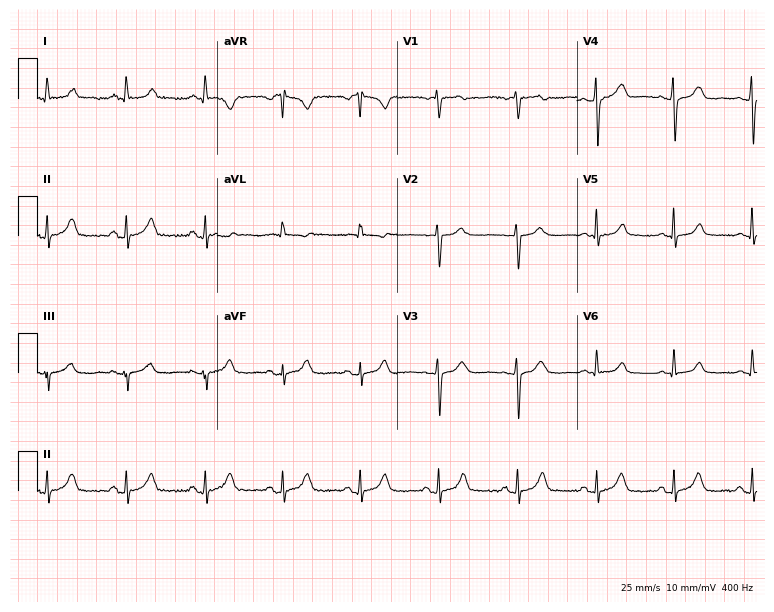
12-lead ECG (7.3-second recording at 400 Hz) from a female, 56 years old. Labelled as a normal ECG.